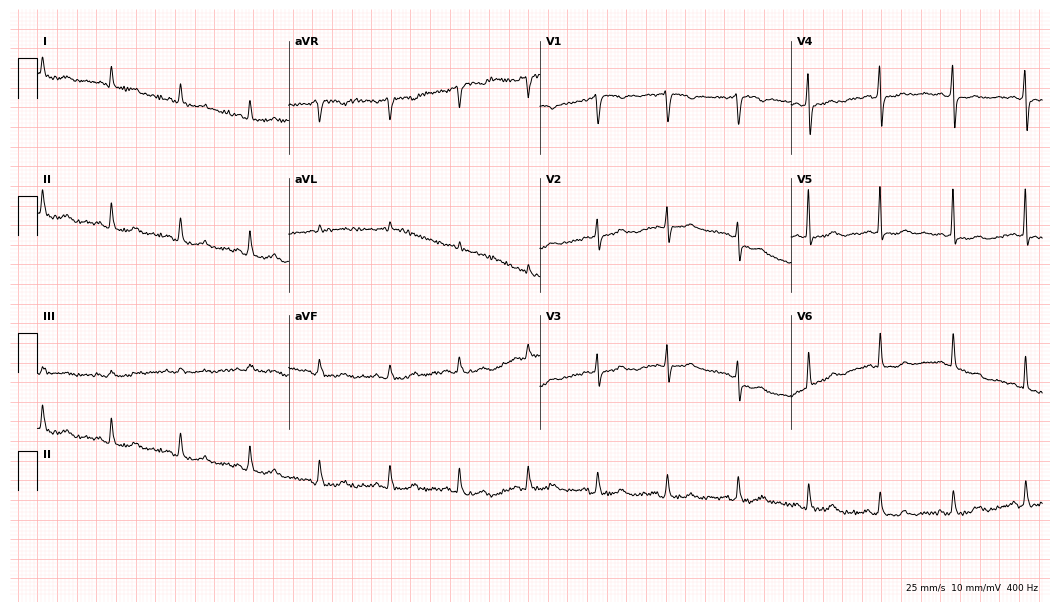
Resting 12-lead electrocardiogram (10.2-second recording at 400 Hz). Patient: a 78-year-old woman. None of these six findings is recorded: first-degree AV block, right bundle branch block, left bundle branch block, sinus bradycardia, atrial fibrillation, sinus tachycardia. Other findings, if any, are not listed.